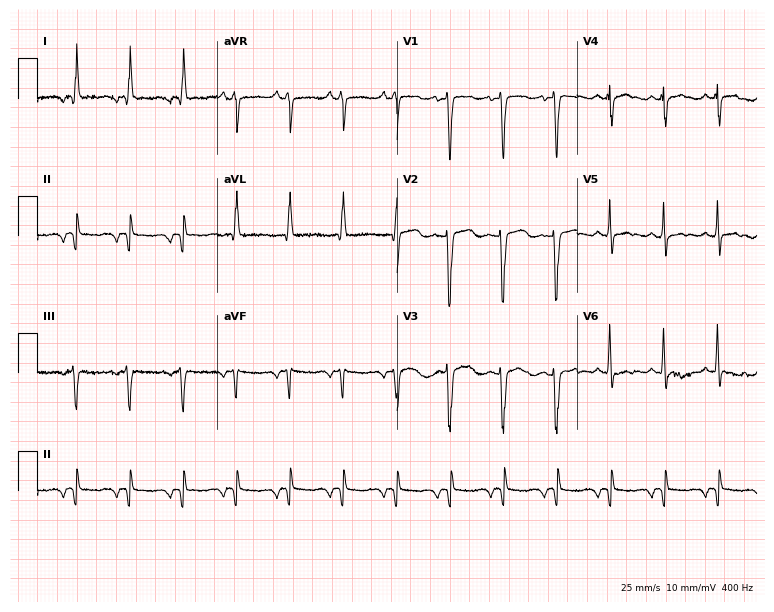
12-lead ECG (7.3-second recording at 400 Hz) from a 40-year-old female patient. Screened for six findings — first-degree AV block, right bundle branch block (RBBB), left bundle branch block (LBBB), sinus bradycardia, atrial fibrillation (AF), sinus tachycardia — none is recorded.